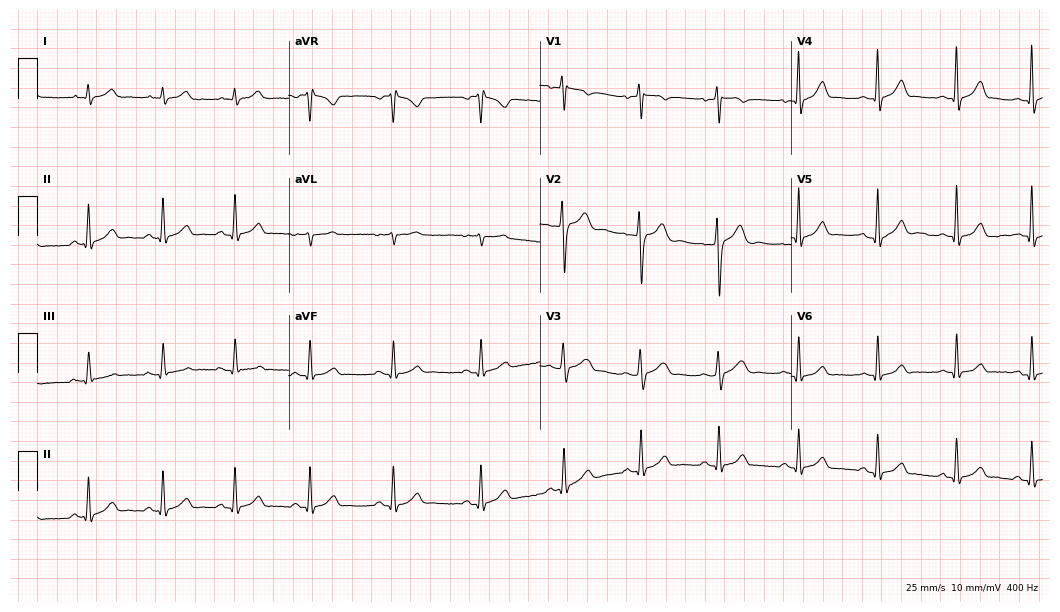
ECG — a male patient, 21 years old. Screened for six findings — first-degree AV block, right bundle branch block, left bundle branch block, sinus bradycardia, atrial fibrillation, sinus tachycardia — none is recorded. Findings outside these six are not listed.